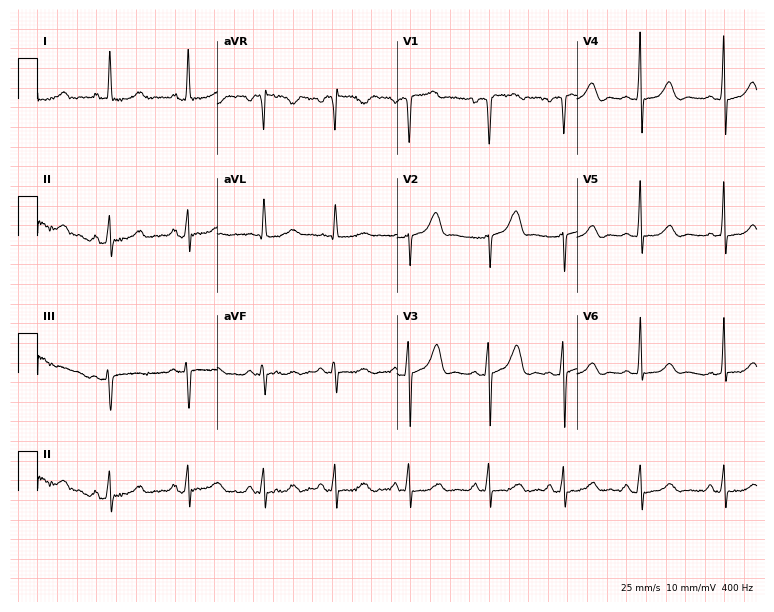
12-lead ECG from a 41-year-old woman (7.3-second recording at 400 Hz). No first-degree AV block, right bundle branch block, left bundle branch block, sinus bradycardia, atrial fibrillation or sinus tachycardia recorded for this tracing.